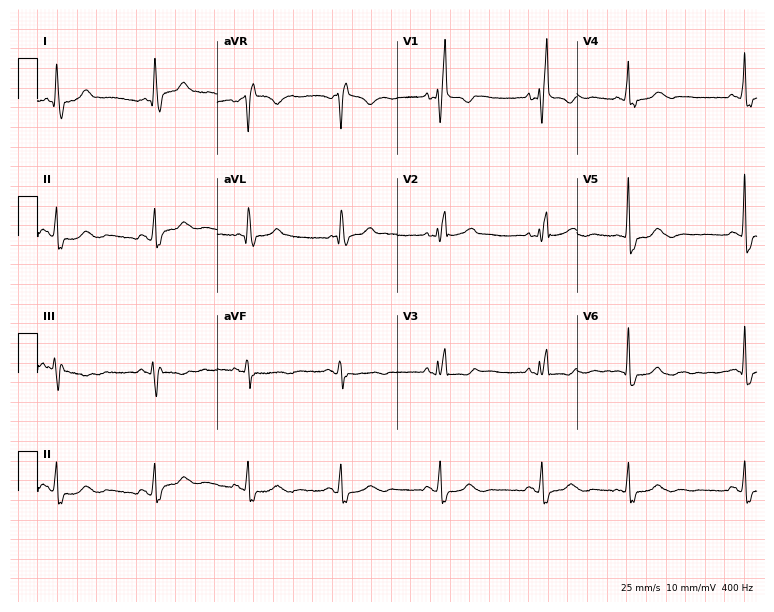
12-lead ECG from a woman, 76 years old (7.3-second recording at 400 Hz). Shows right bundle branch block (RBBB).